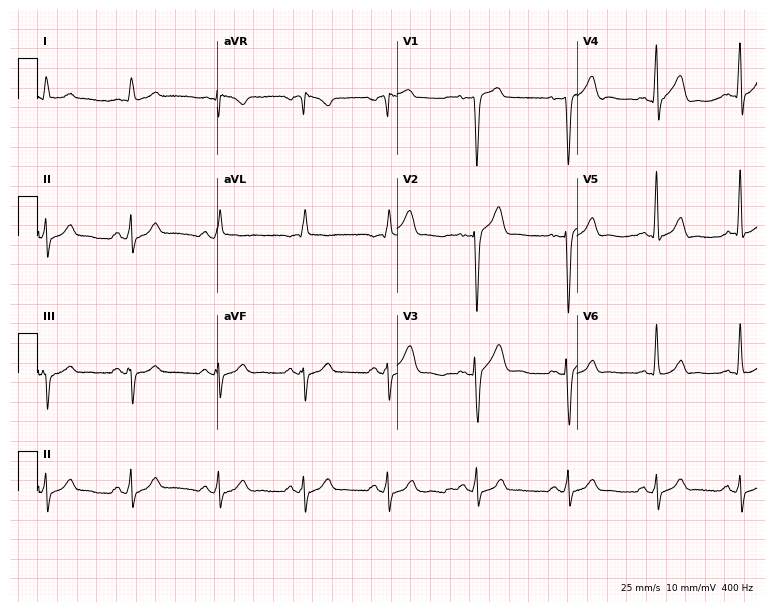
Resting 12-lead electrocardiogram. Patient: a man, 52 years old. None of these six findings is recorded: first-degree AV block, right bundle branch block, left bundle branch block, sinus bradycardia, atrial fibrillation, sinus tachycardia. Only these six findings were labelled.